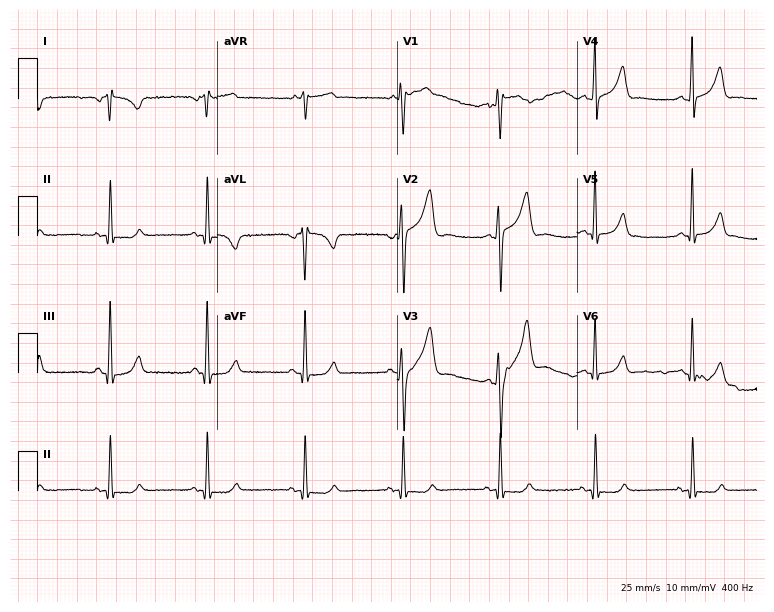
12-lead ECG (7.3-second recording at 400 Hz) from a 57-year-old male. Screened for six findings — first-degree AV block, right bundle branch block, left bundle branch block, sinus bradycardia, atrial fibrillation, sinus tachycardia — none is recorded.